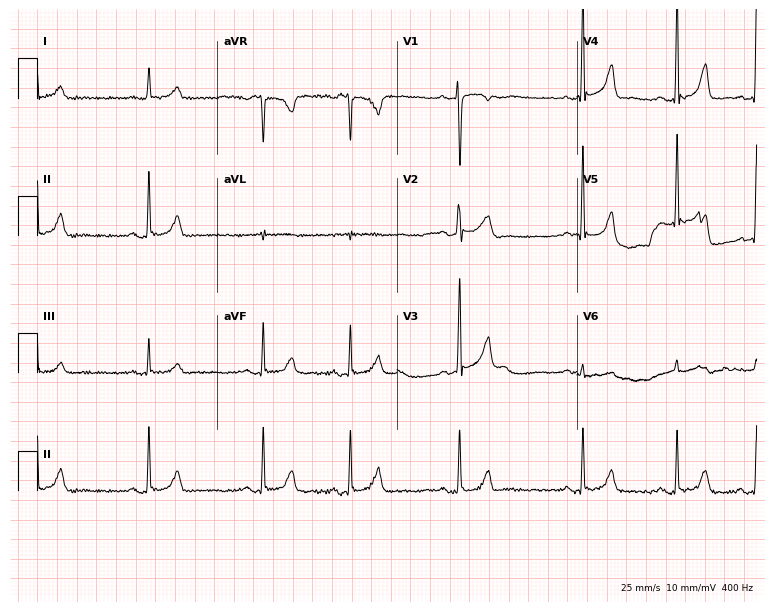
Standard 12-lead ECG recorded from a female, 32 years old (7.3-second recording at 400 Hz). None of these six findings is recorded: first-degree AV block, right bundle branch block (RBBB), left bundle branch block (LBBB), sinus bradycardia, atrial fibrillation (AF), sinus tachycardia.